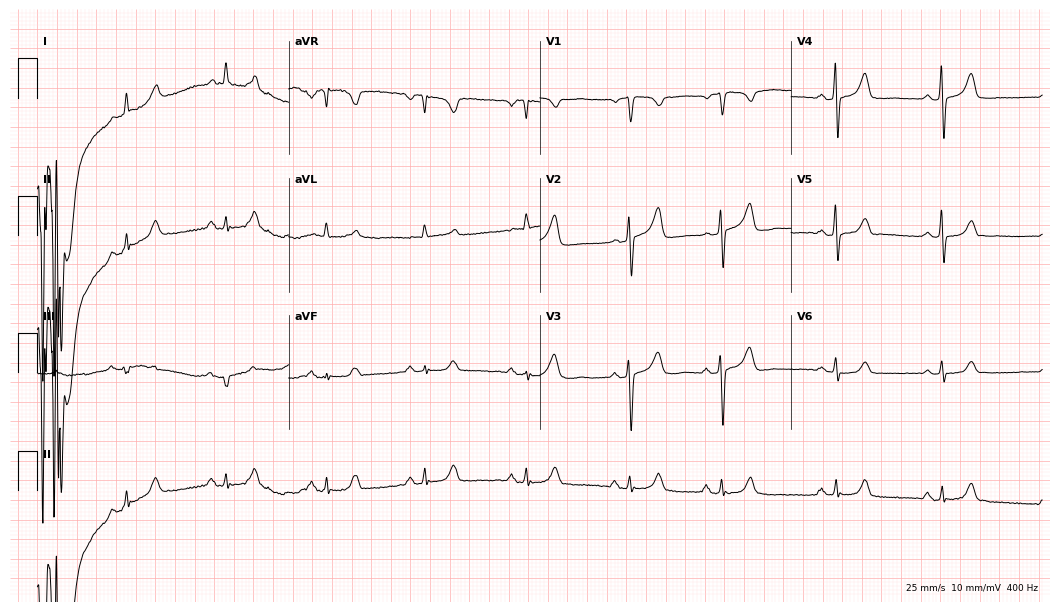
12-lead ECG (10.2-second recording at 400 Hz) from a 67-year-old male patient. Labelled as a normal ECG.